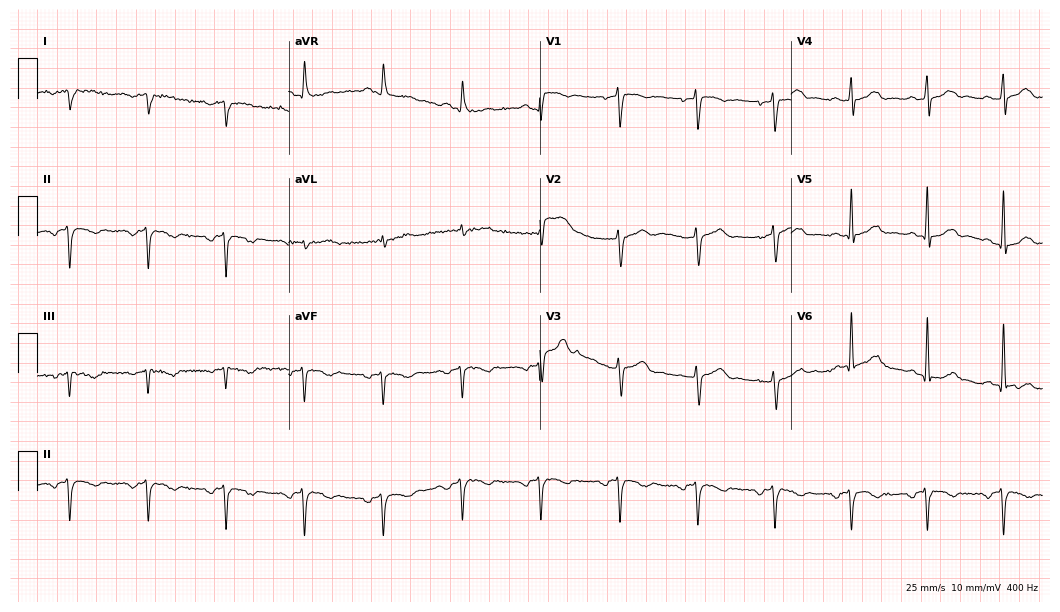
12-lead ECG (10.2-second recording at 400 Hz) from a 66-year-old male. Screened for six findings — first-degree AV block, right bundle branch block, left bundle branch block, sinus bradycardia, atrial fibrillation, sinus tachycardia — none is recorded.